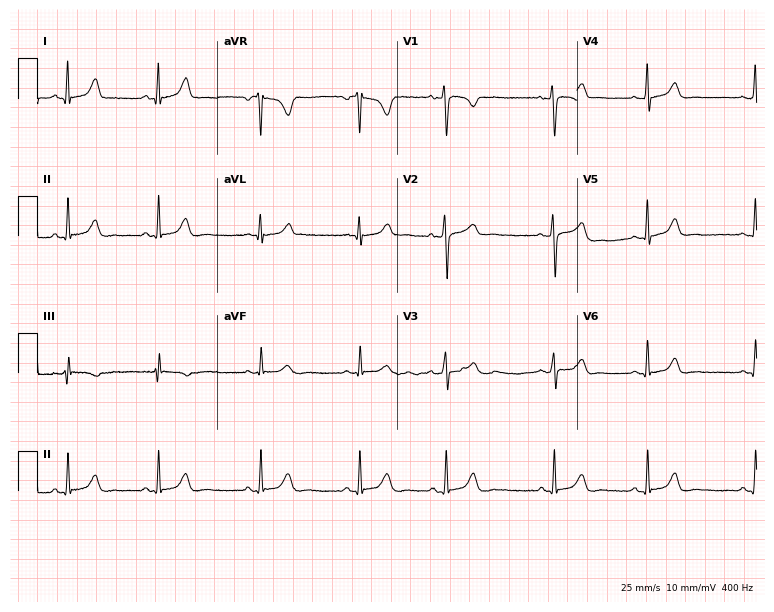
Resting 12-lead electrocardiogram (7.3-second recording at 400 Hz). Patient: a 24-year-old woman. Read as a normal ECG.